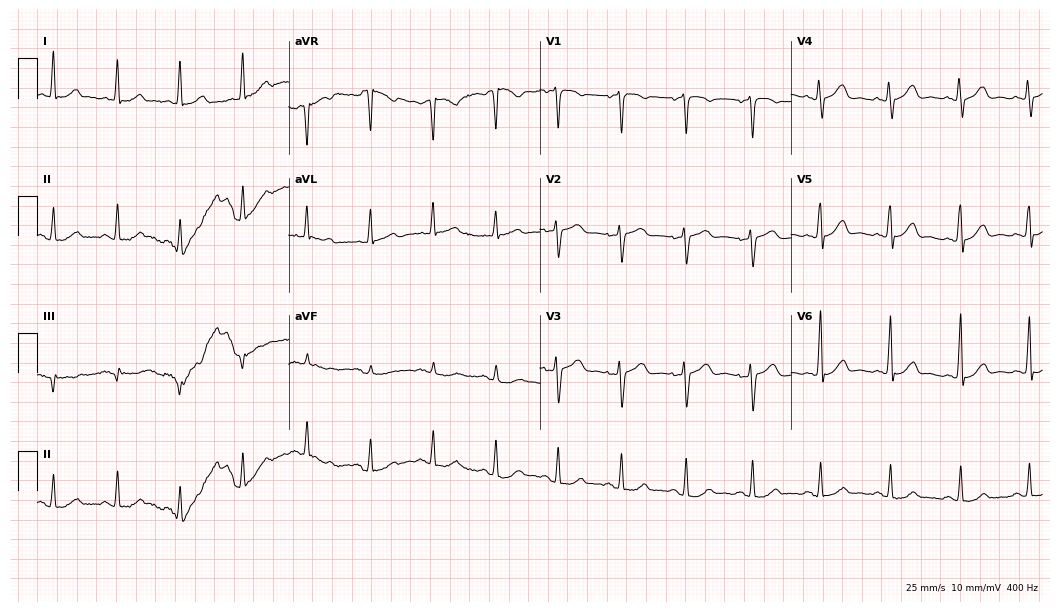
12-lead ECG from a female patient, 65 years old. Labelled as a normal ECG.